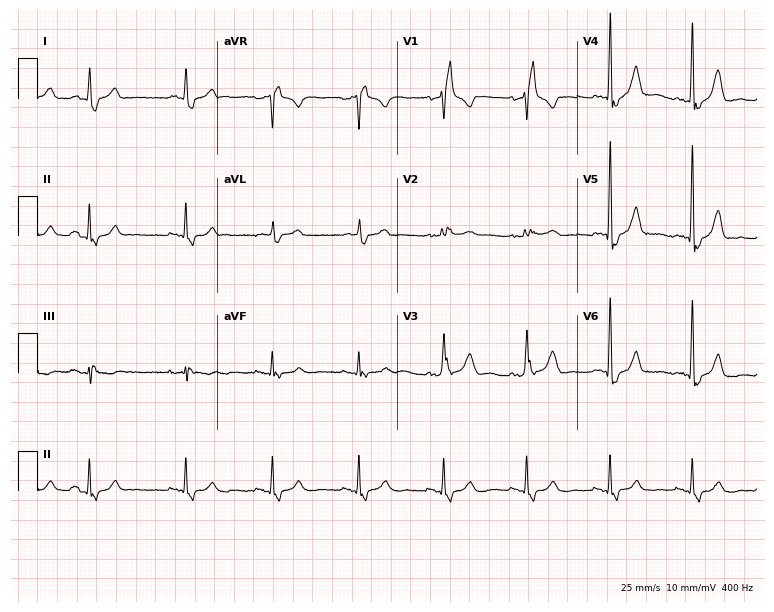
12-lead ECG from a woman, 58 years old (7.3-second recording at 400 Hz). Shows right bundle branch block.